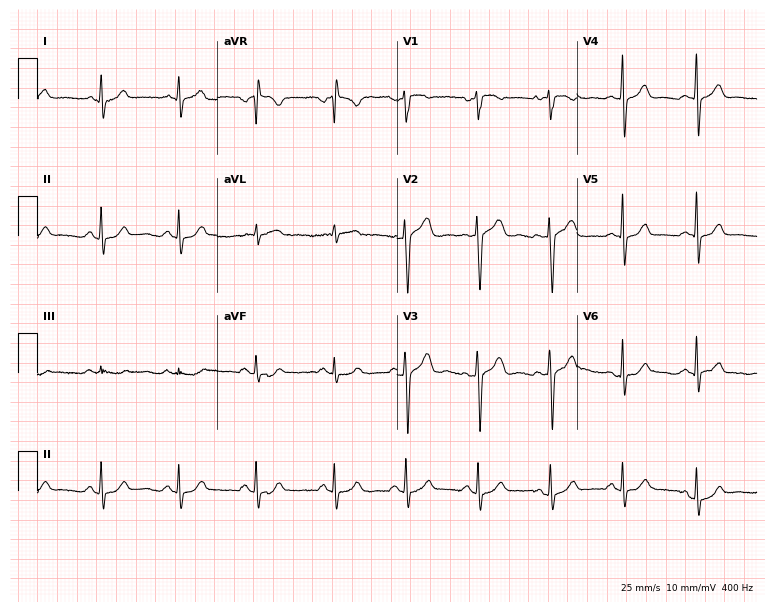
Electrocardiogram (7.3-second recording at 400 Hz), a 36-year-old female. Of the six screened findings (first-degree AV block, right bundle branch block (RBBB), left bundle branch block (LBBB), sinus bradycardia, atrial fibrillation (AF), sinus tachycardia), none is recorded. Only these six findings were labelled.